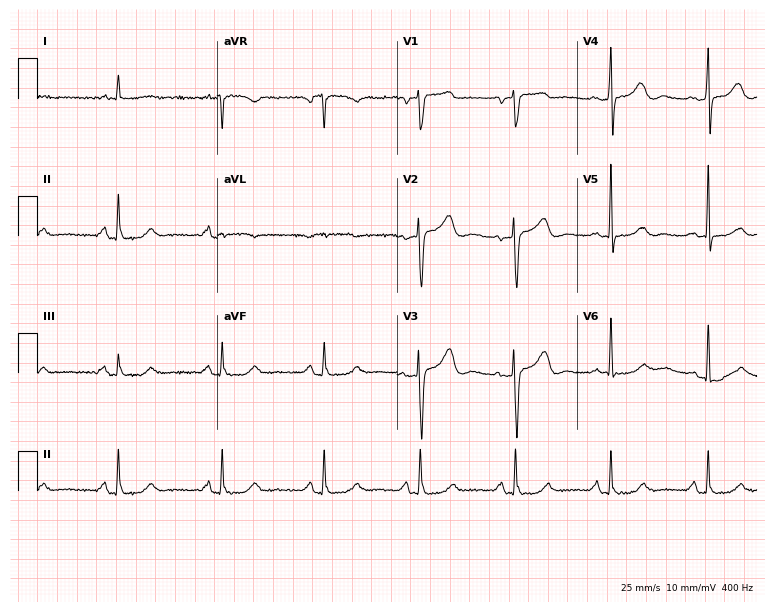
Resting 12-lead electrocardiogram. Patient: a 77-year-old male. Read as a normal ECG.